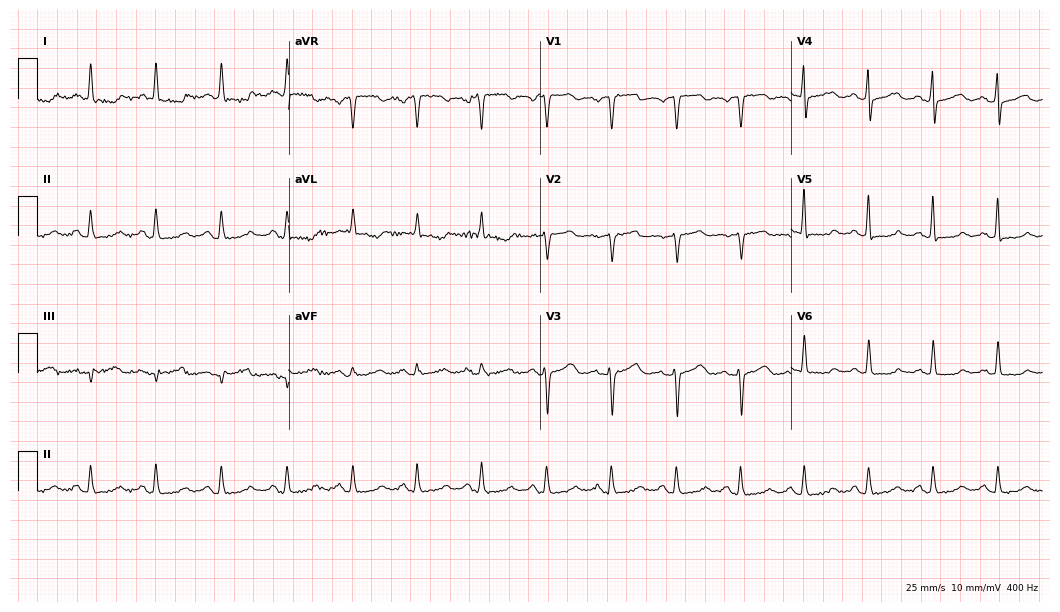
12-lead ECG from a 50-year-old woman. Labelled as a normal ECG.